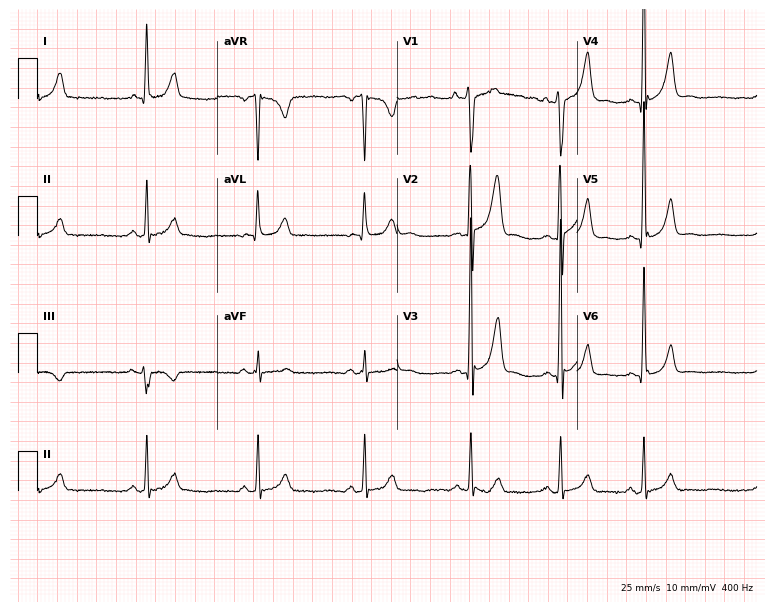
12-lead ECG (7.3-second recording at 400 Hz) from a male patient, 28 years old. Screened for six findings — first-degree AV block, right bundle branch block (RBBB), left bundle branch block (LBBB), sinus bradycardia, atrial fibrillation (AF), sinus tachycardia — none is recorded.